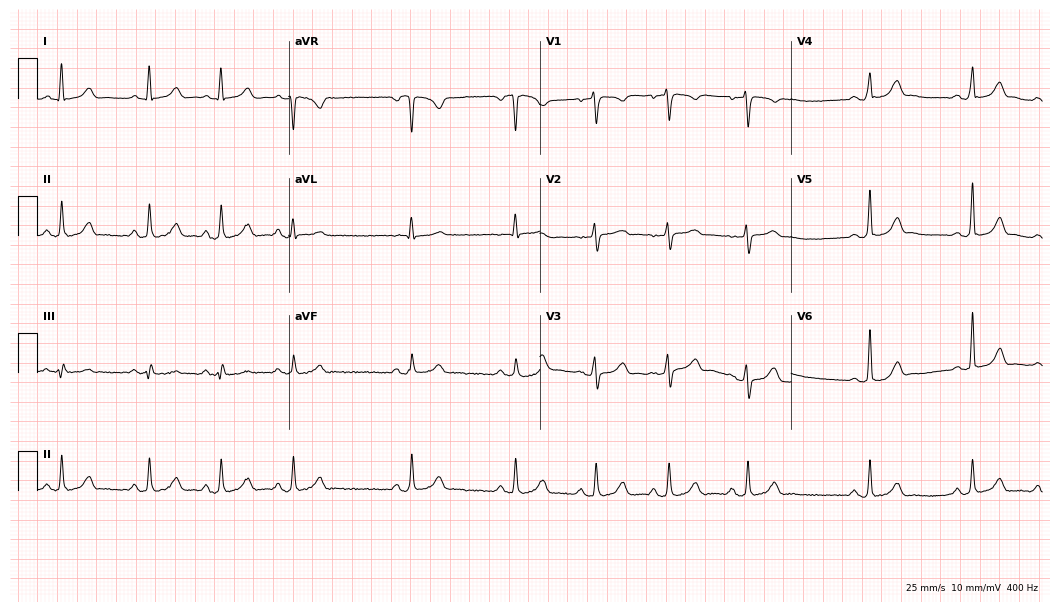
ECG (10.2-second recording at 400 Hz) — a 25-year-old woman. Labelled as a normal ECG.